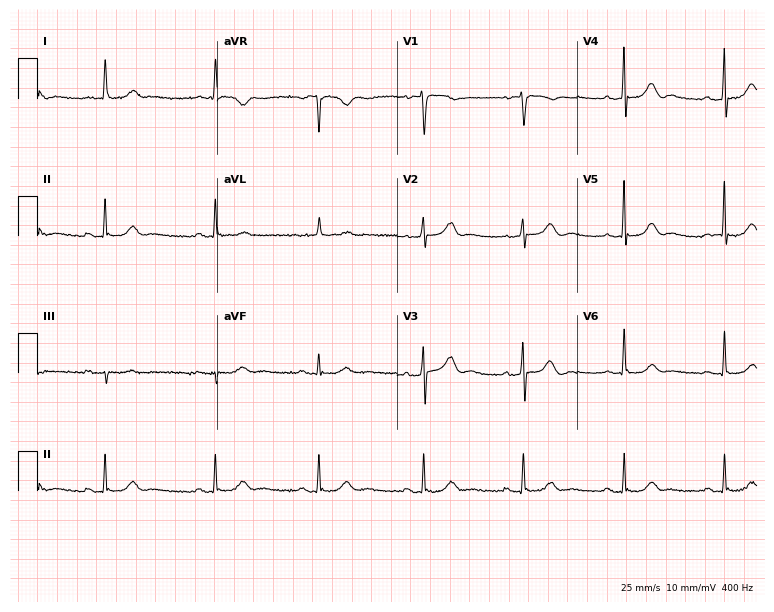
12-lead ECG from a female patient, 73 years old. Screened for six findings — first-degree AV block, right bundle branch block, left bundle branch block, sinus bradycardia, atrial fibrillation, sinus tachycardia — none is recorded. Other findings, if any, are not listed.